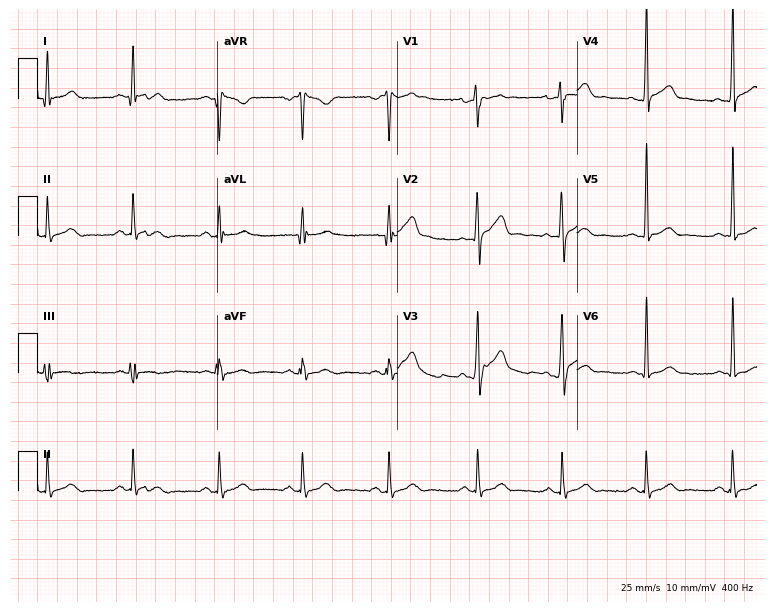
ECG — a 26-year-old man. Screened for six findings — first-degree AV block, right bundle branch block (RBBB), left bundle branch block (LBBB), sinus bradycardia, atrial fibrillation (AF), sinus tachycardia — none is recorded.